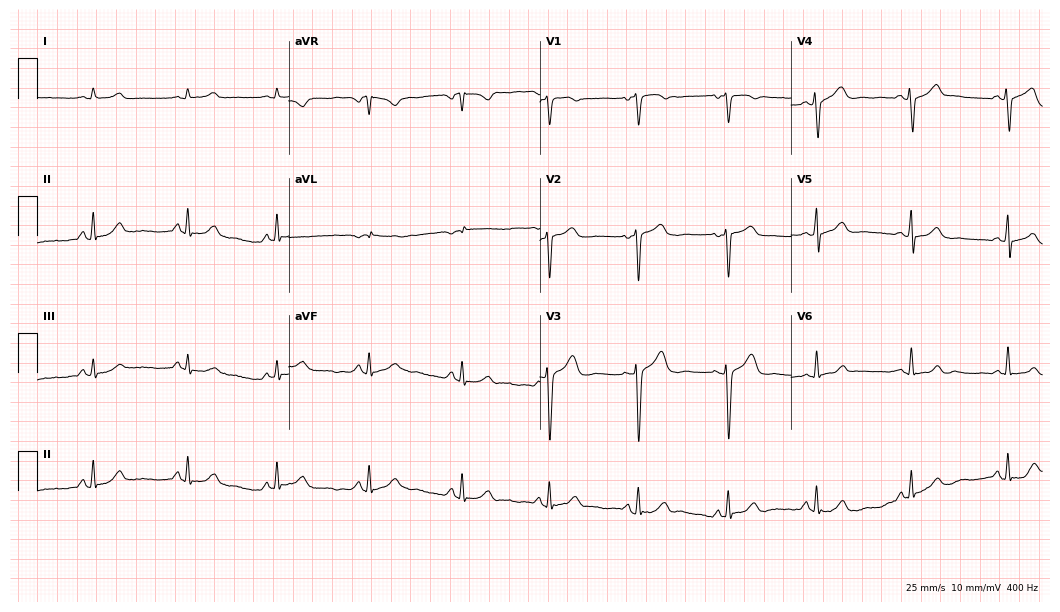
12-lead ECG from a woman, 42 years old (10.2-second recording at 400 Hz). Recorded interpretation: within normal limits.